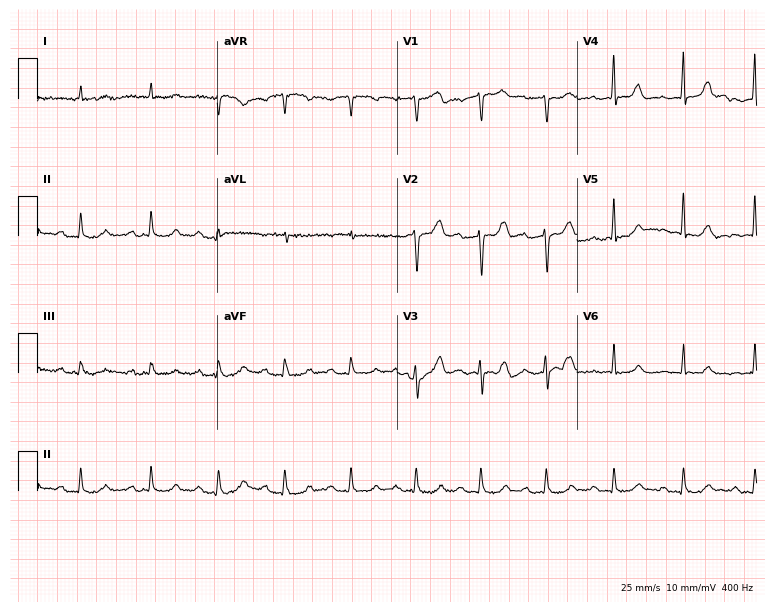
12-lead ECG (7.3-second recording at 400 Hz) from a male patient, 75 years old. Findings include first-degree AV block.